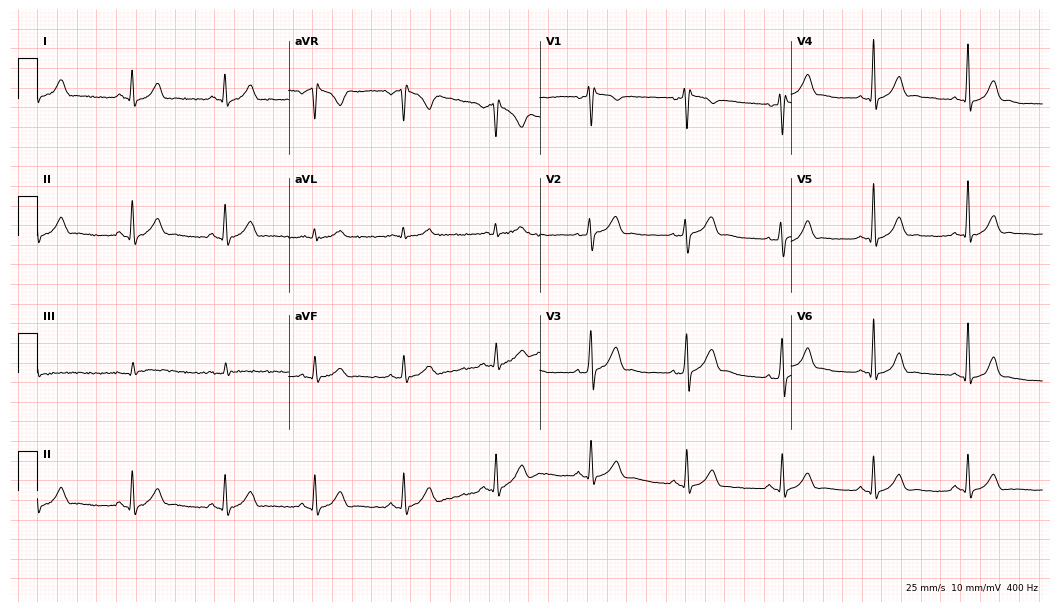
ECG — a male, 36 years old. Labelled as a normal ECG.